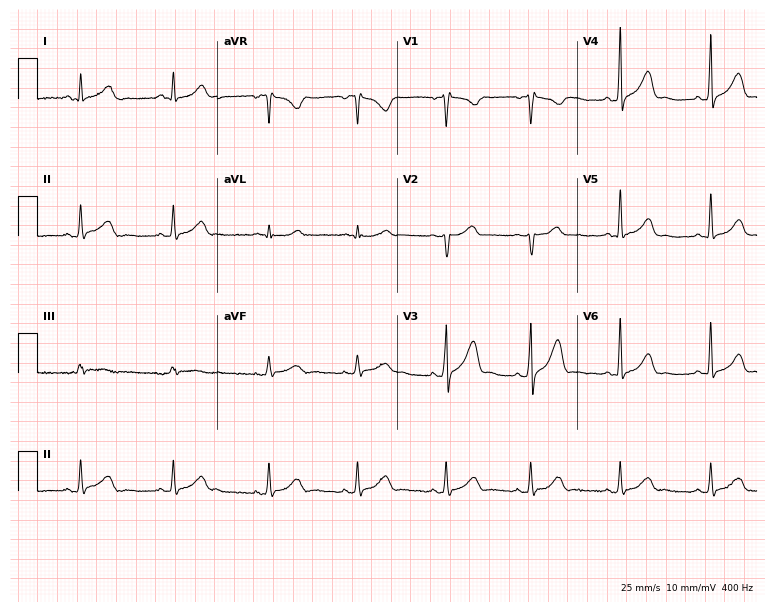
Electrocardiogram (7.3-second recording at 400 Hz), a 45-year-old male patient. Overall reading on record: normal ECG.